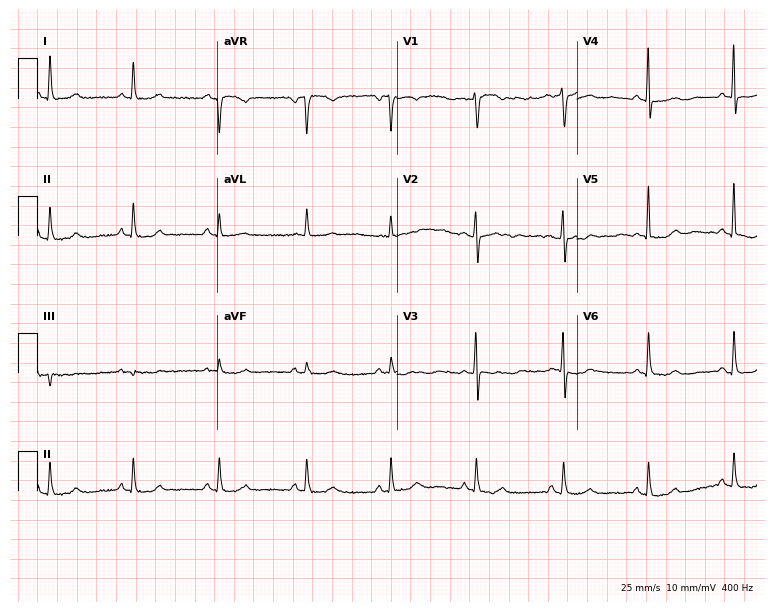
Electrocardiogram, a 71-year-old female. Of the six screened findings (first-degree AV block, right bundle branch block, left bundle branch block, sinus bradycardia, atrial fibrillation, sinus tachycardia), none is recorded.